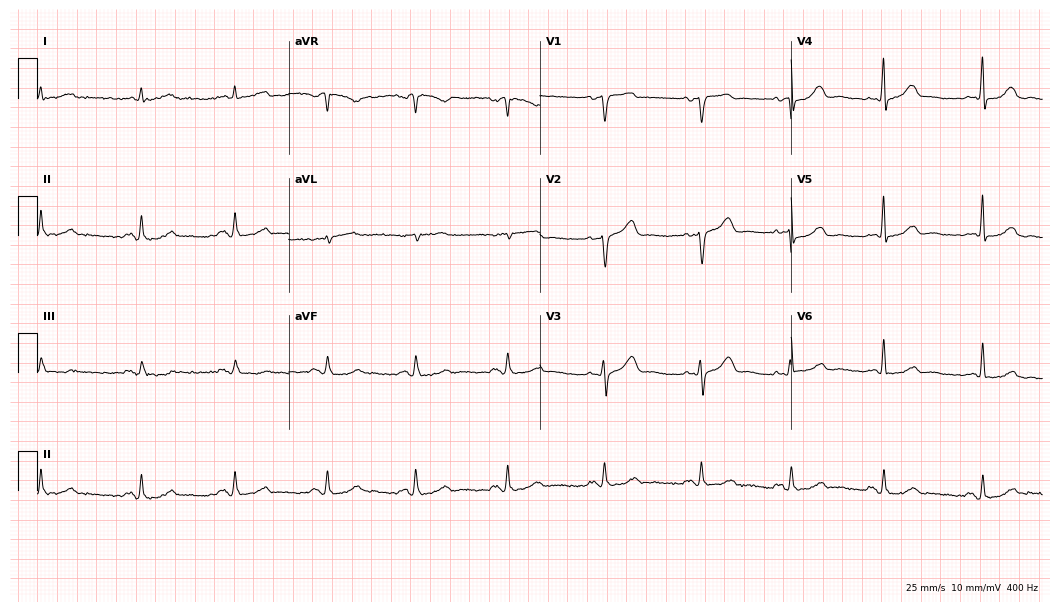
Resting 12-lead electrocardiogram (10.2-second recording at 400 Hz). Patient: a 58-year-old female. Read as a normal ECG.